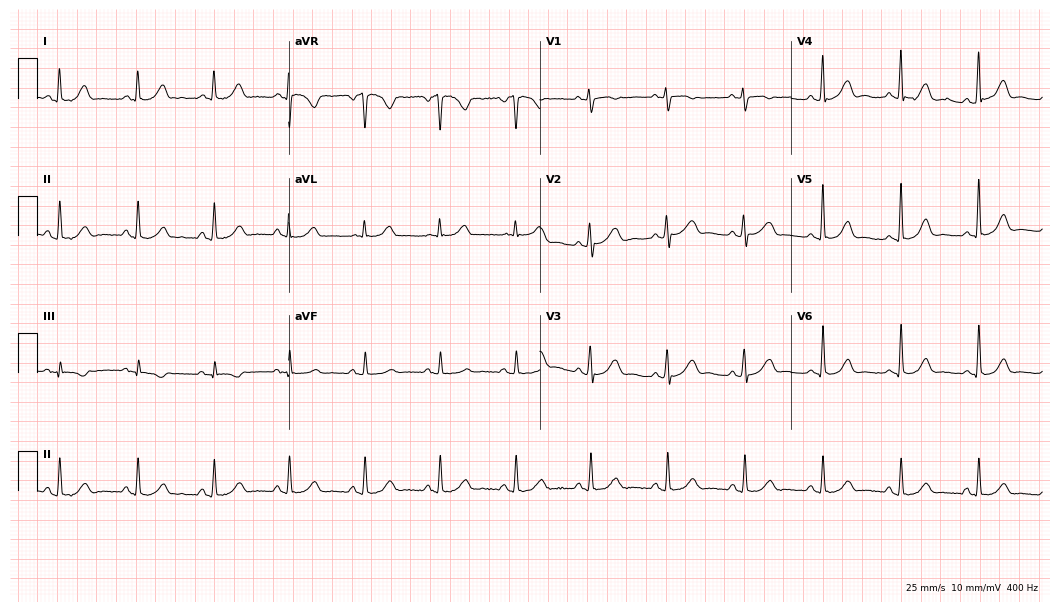
Resting 12-lead electrocardiogram. Patient: a female, 55 years old. None of these six findings is recorded: first-degree AV block, right bundle branch block, left bundle branch block, sinus bradycardia, atrial fibrillation, sinus tachycardia. Findings outside these six are not listed.